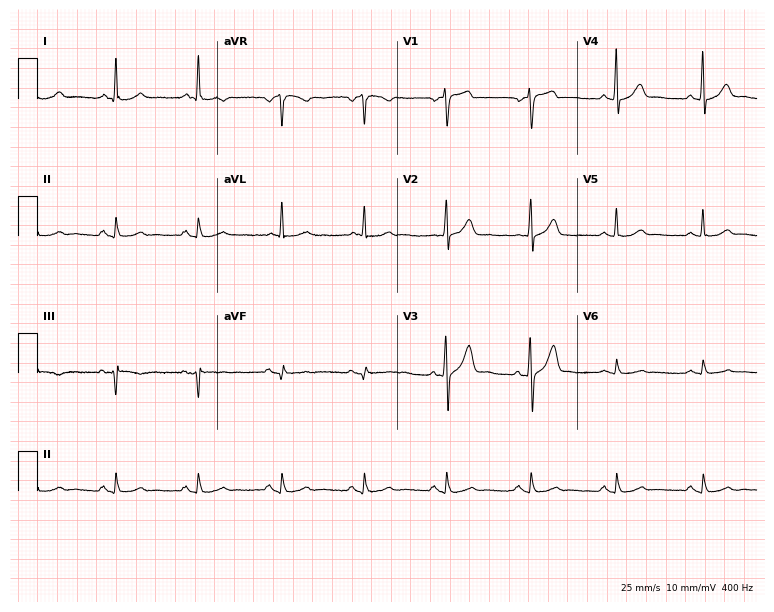
ECG (7.3-second recording at 400 Hz) — a 73-year-old male. Labelled as a normal ECG.